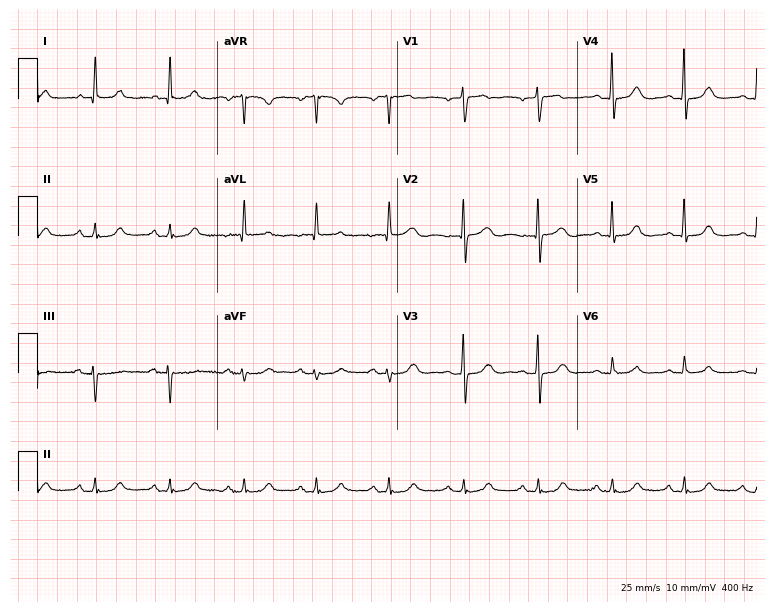
Resting 12-lead electrocardiogram. Patient: a 78-year-old female. Read as a normal ECG.